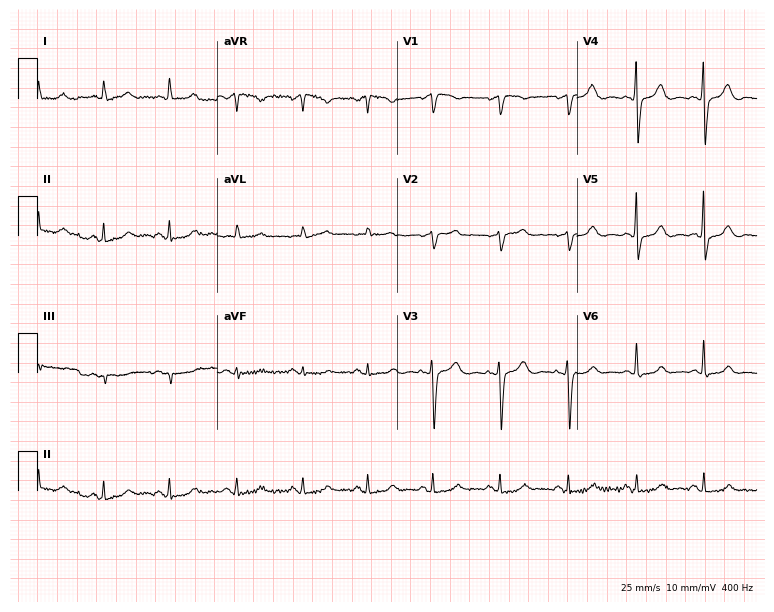
Standard 12-lead ECG recorded from a 77-year-old woman. Read as a normal ECG.